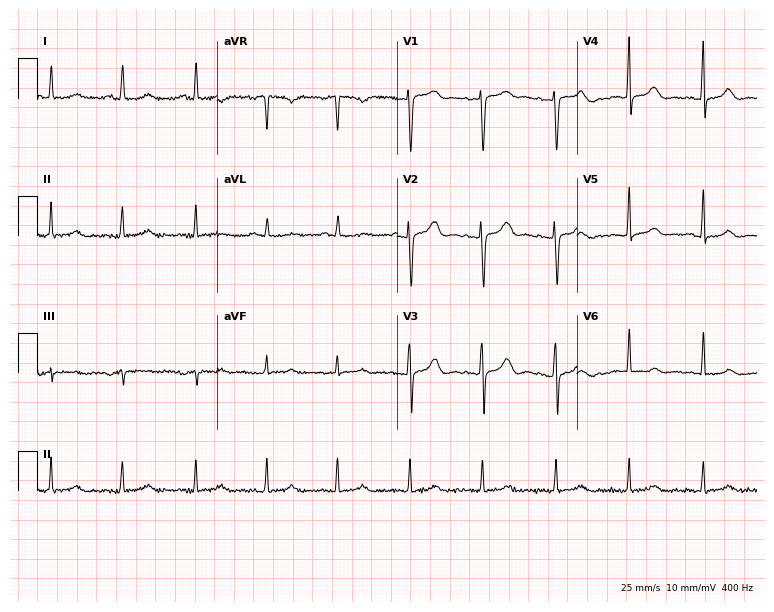
Electrocardiogram, a 57-year-old female. Of the six screened findings (first-degree AV block, right bundle branch block (RBBB), left bundle branch block (LBBB), sinus bradycardia, atrial fibrillation (AF), sinus tachycardia), none is recorded. Other findings, if any, are not listed.